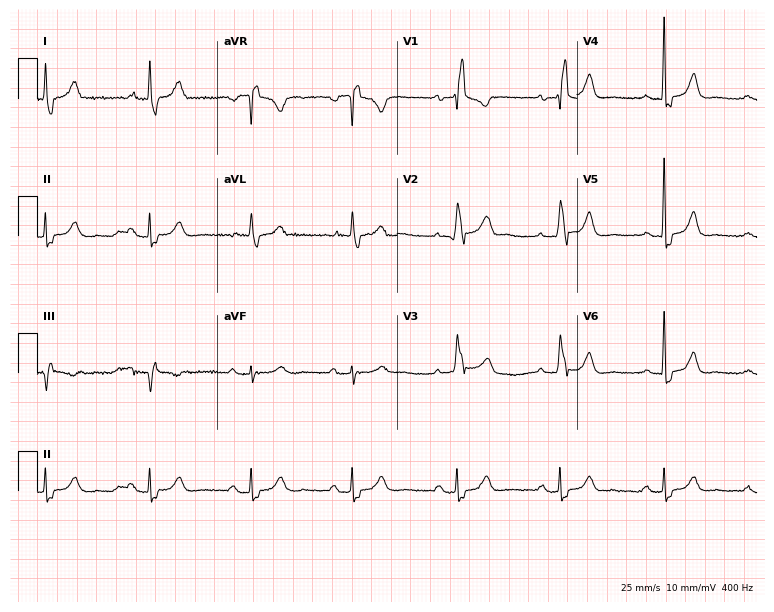
Standard 12-lead ECG recorded from a 68-year-old female. The tracing shows right bundle branch block.